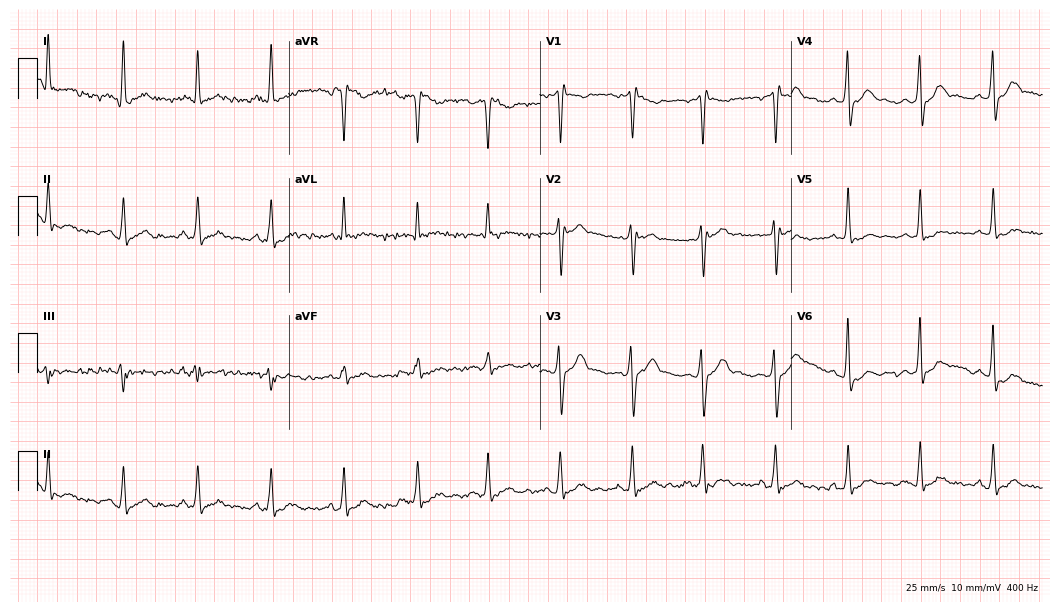
Resting 12-lead electrocardiogram. Patient: a male, 32 years old. None of these six findings is recorded: first-degree AV block, right bundle branch block, left bundle branch block, sinus bradycardia, atrial fibrillation, sinus tachycardia. Other findings, if any, are not listed.